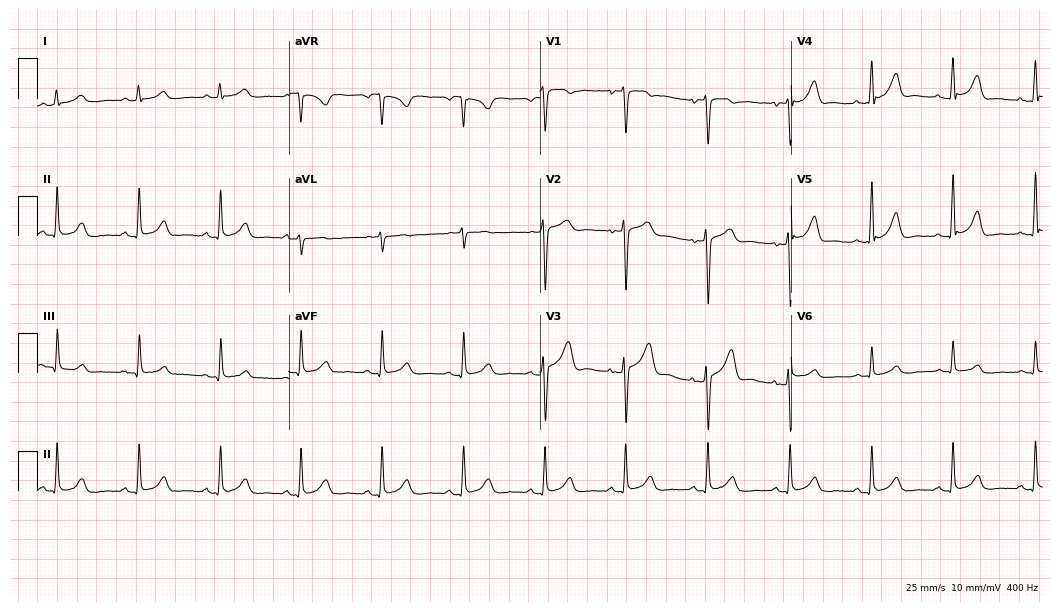
Electrocardiogram, a 51-year-old female. Overall reading on record: normal ECG.